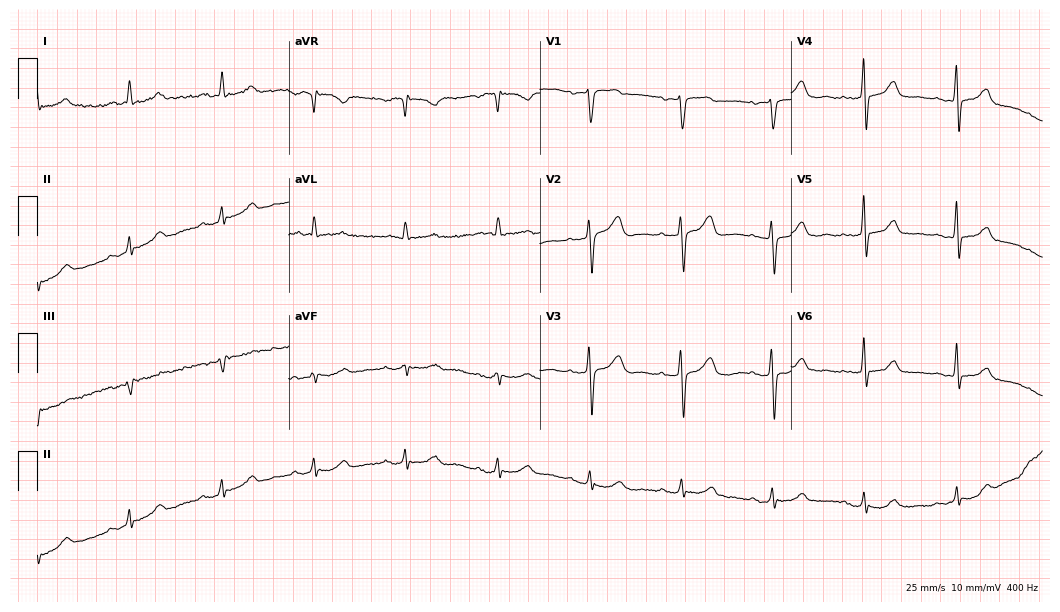
Electrocardiogram, a woman, 67 years old. Overall reading on record: normal ECG.